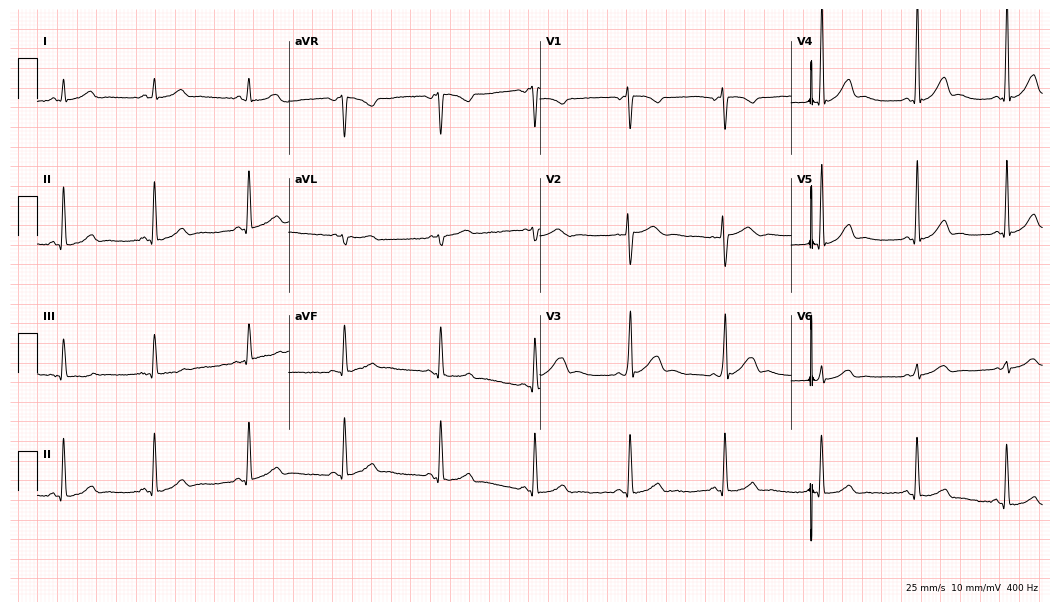
ECG (10.2-second recording at 400 Hz) — a female, 34 years old. Screened for six findings — first-degree AV block, right bundle branch block (RBBB), left bundle branch block (LBBB), sinus bradycardia, atrial fibrillation (AF), sinus tachycardia — none is recorded. Findings outside these six are not listed.